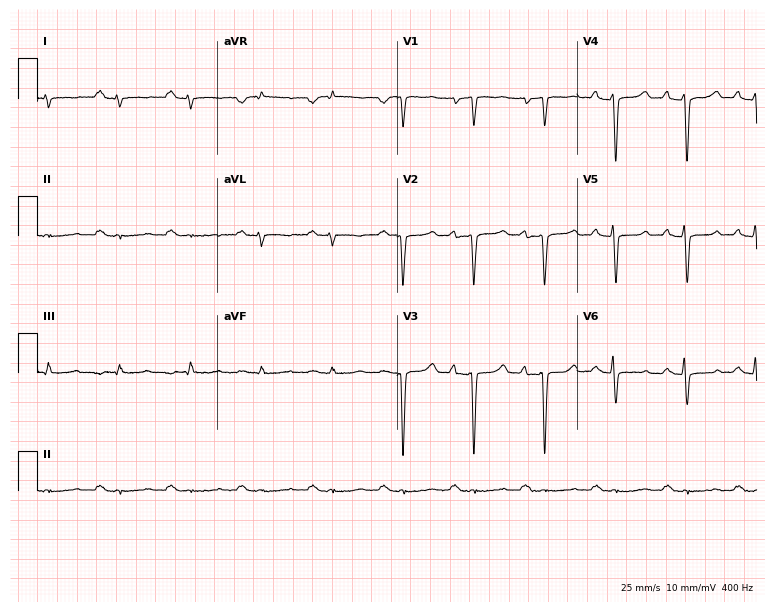
Electrocardiogram, a male patient, 43 years old. Of the six screened findings (first-degree AV block, right bundle branch block (RBBB), left bundle branch block (LBBB), sinus bradycardia, atrial fibrillation (AF), sinus tachycardia), none is recorded. Only these six findings were labelled.